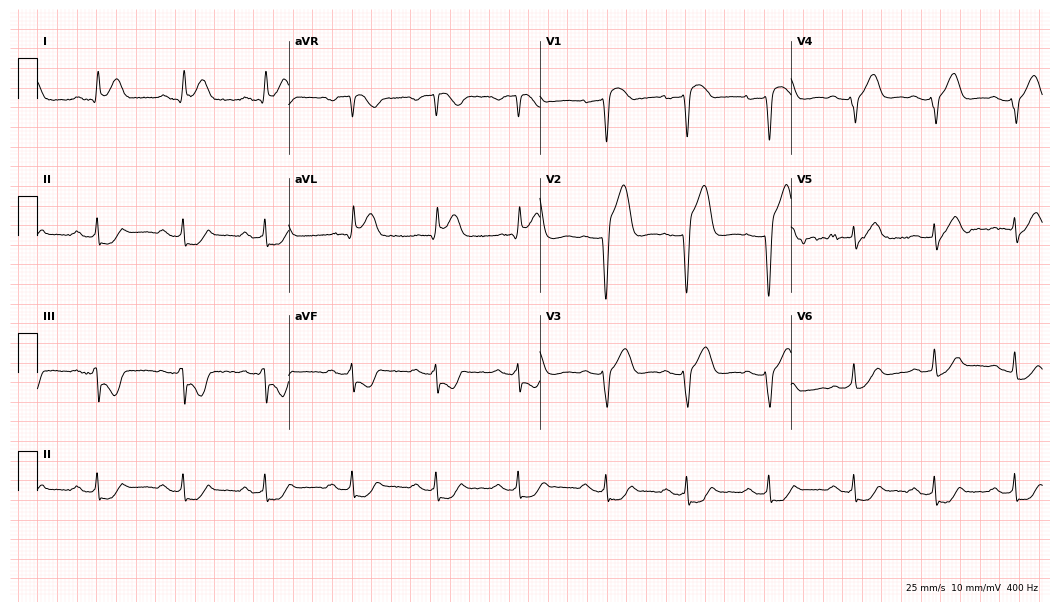
12-lead ECG from a woman, 57 years old (10.2-second recording at 400 Hz). No first-degree AV block, right bundle branch block, left bundle branch block, sinus bradycardia, atrial fibrillation or sinus tachycardia recorded for this tracing.